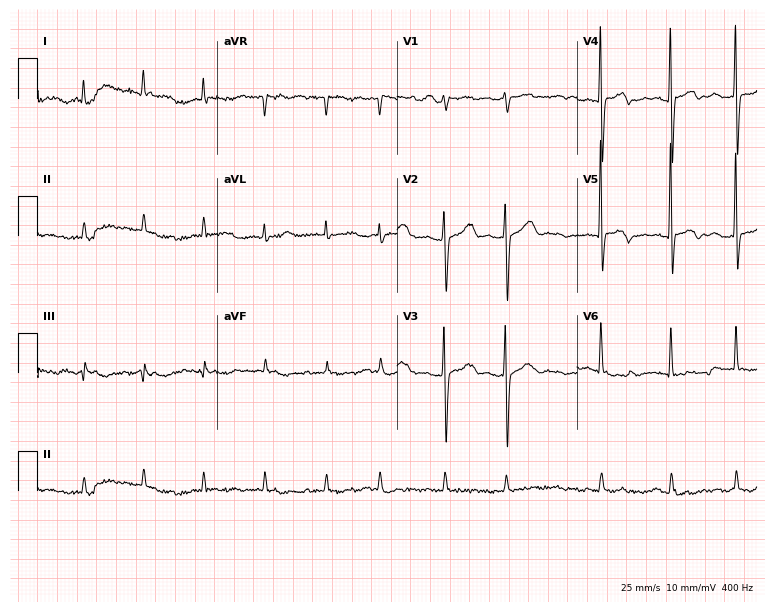
Standard 12-lead ECG recorded from an 85-year-old female patient. None of these six findings is recorded: first-degree AV block, right bundle branch block, left bundle branch block, sinus bradycardia, atrial fibrillation, sinus tachycardia. Other findings, if any, are not listed.